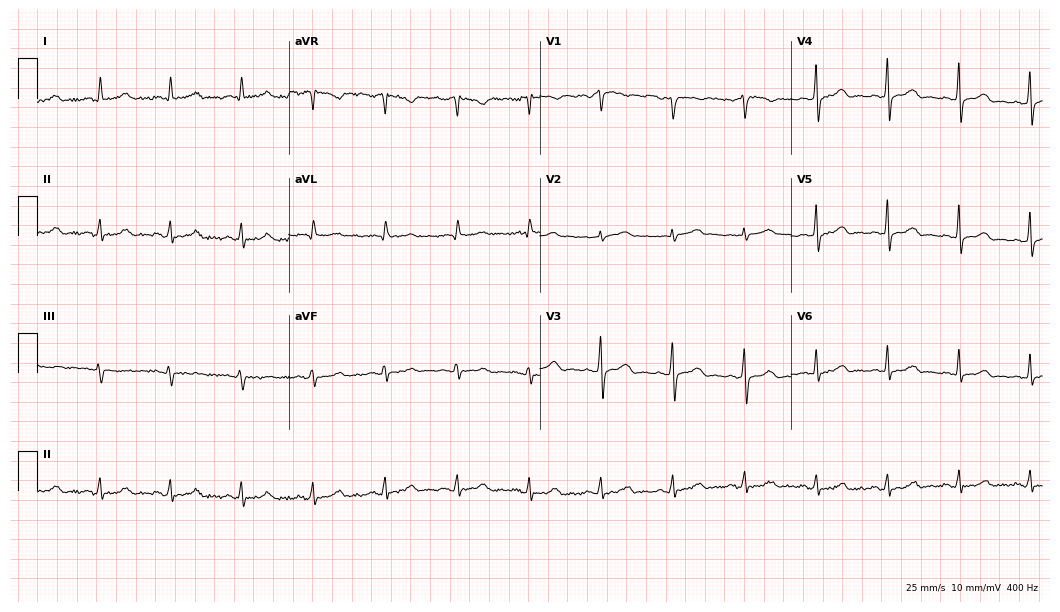
12-lead ECG from a 48-year-old female. Screened for six findings — first-degree AV block, right bundle branch block, left bundle branch block, sinus bradycardia, atrial fibrillation, sinus tachycardia — none is recorded.